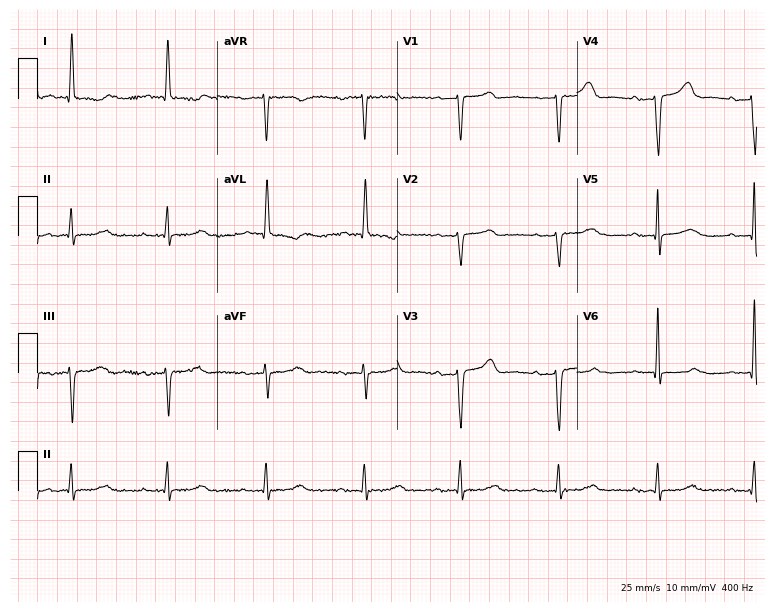
Resting 12-lead electrocardiogram. Patient: a 69-year-old female. The tracing shows first-degree AV block.